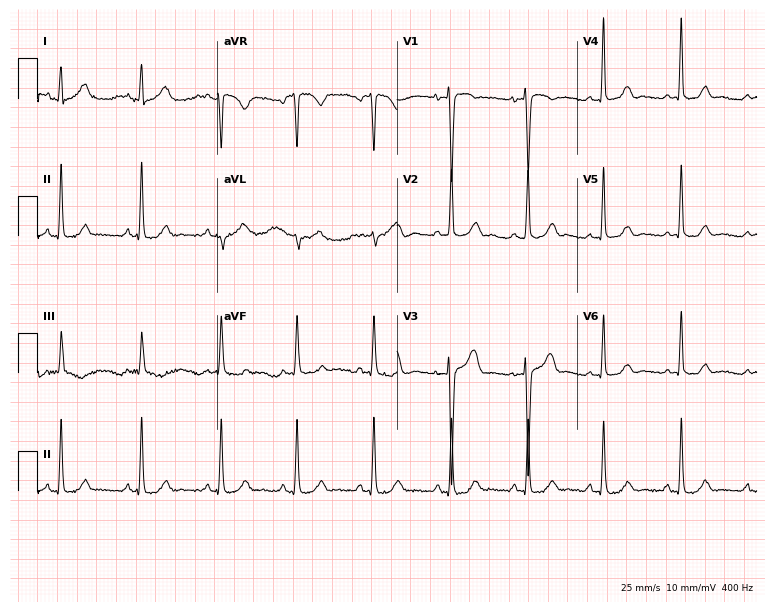
Standard 12-lead ECG recorded from a female patient, 28 years old (7.3-second recording at 400 Hz). None of these six findings is recorded: first-degree AV block, right bundle branch block, left bundle branch block, sinus bradycardia, atrial fibrillation, sinus tachycardia. Other findings, if any, are not listed.